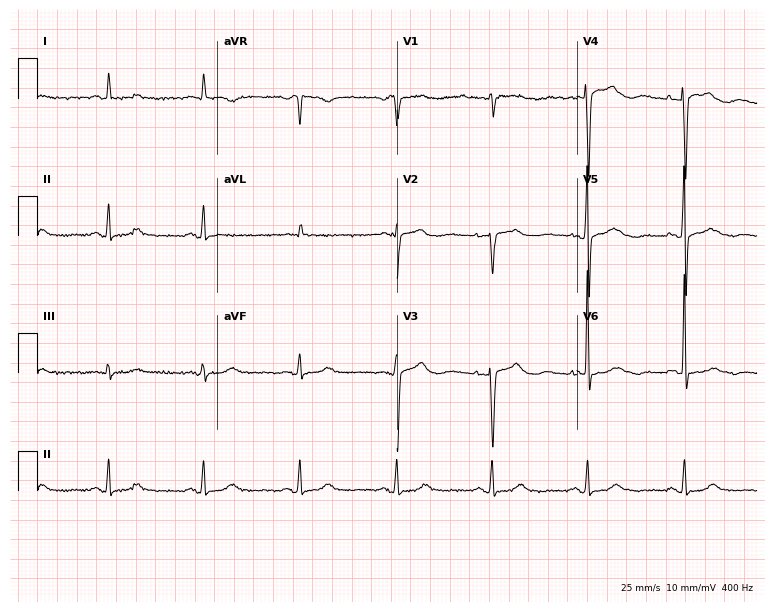
12-lead ECG from a female patient, 81 years old (7.3-second recording at 400 Hz). No first-degree AV block, right bundle branch block (RBBB), left bundle branch block (LBBB), sinus bradycardia, atrial fibrillation (AF) or sinus tachycardia recorded for this tracing. Findings outside these six are not listed.